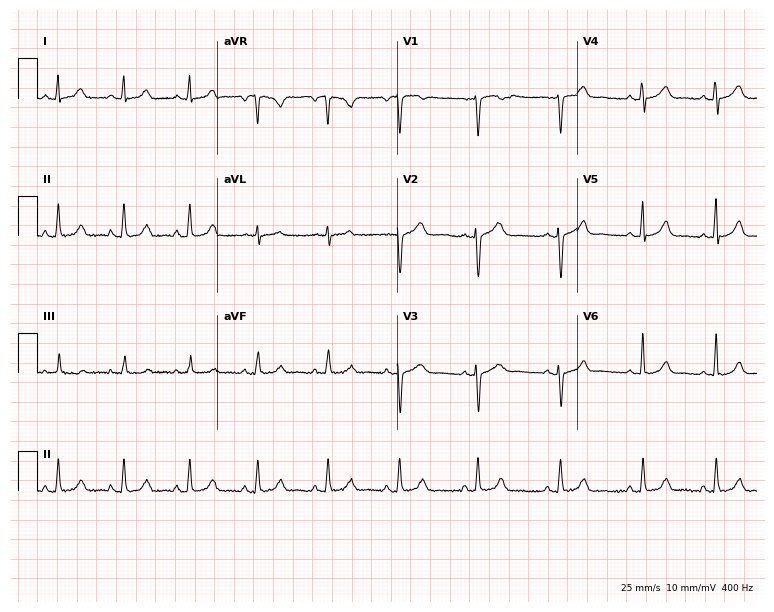
Electrocardiogram (7.3-second recording at 400 Hz), a woman, 41 years old. Overall reading on record: normal ECG.